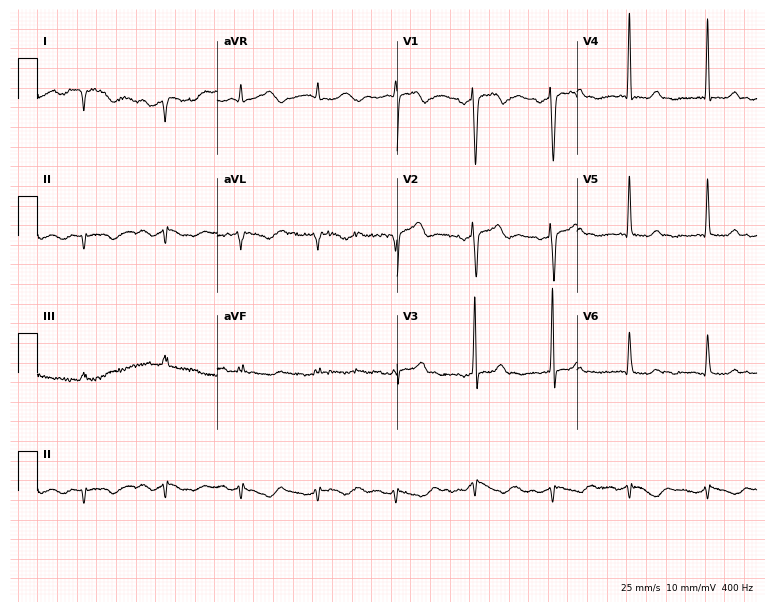
12-lead ECG (7.3-second recording at 400 Hz) from a female, 82 years old. Screened for six findings — first-degree AV block, right bundle branch block, left bundle branch block, sinus bradycardia, atrial fibrillation, sinus tachycardia — none is recorded.